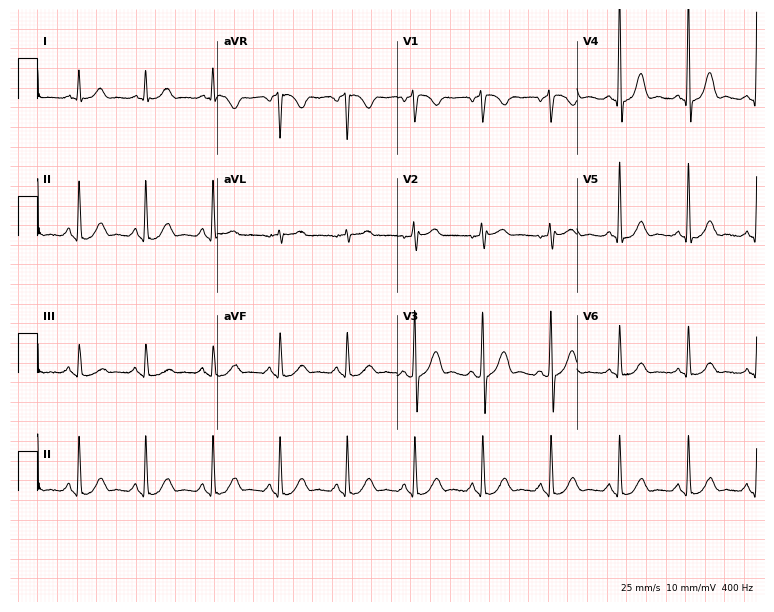
ECG (7.3-second recording at 400 Hz) — a 65-year-old male patient. Labelled as a normal ECG.